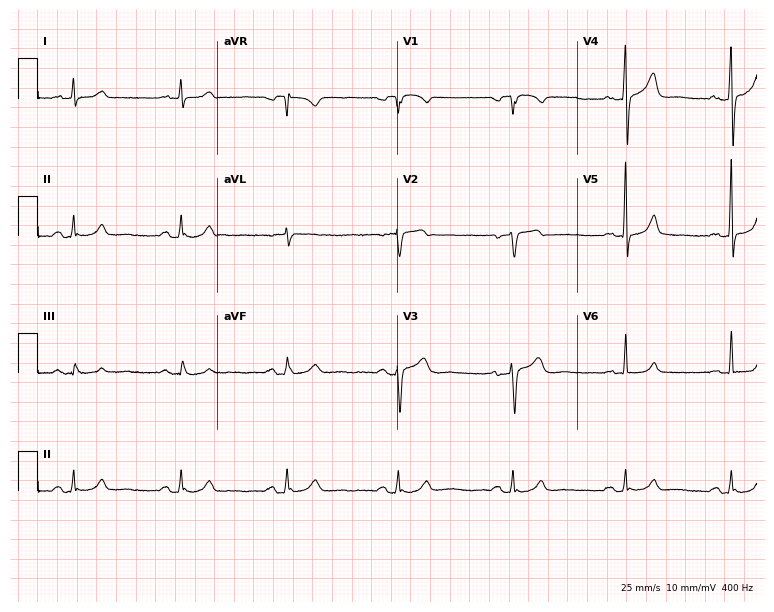
12-lead ECG from a 62-year-old male patient. Labelled as a normal ECG.